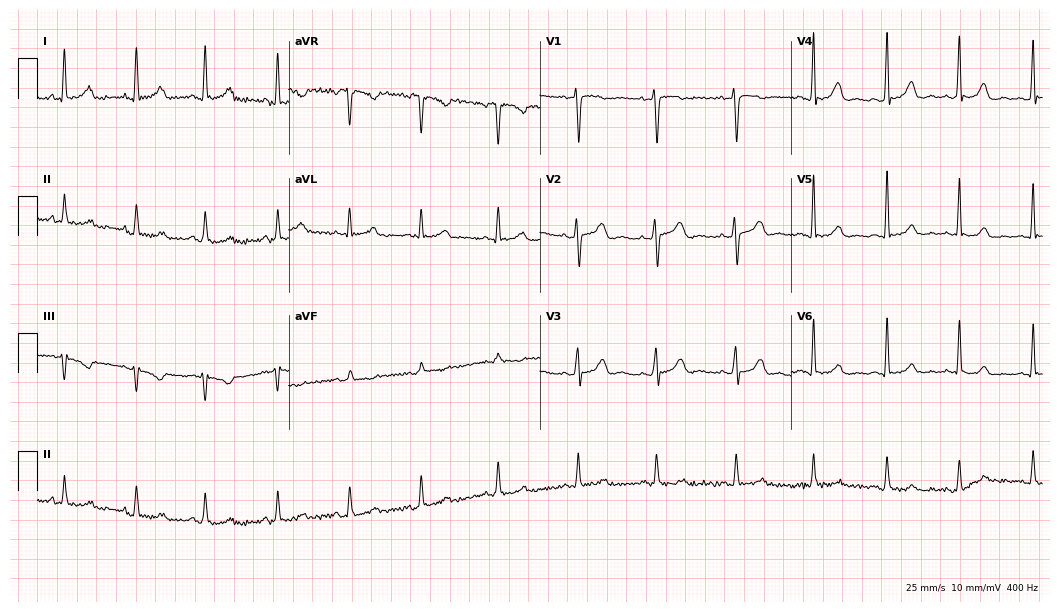
12-lead ECG from a 32-year-old female. Recorded interpretation: within normal limits.